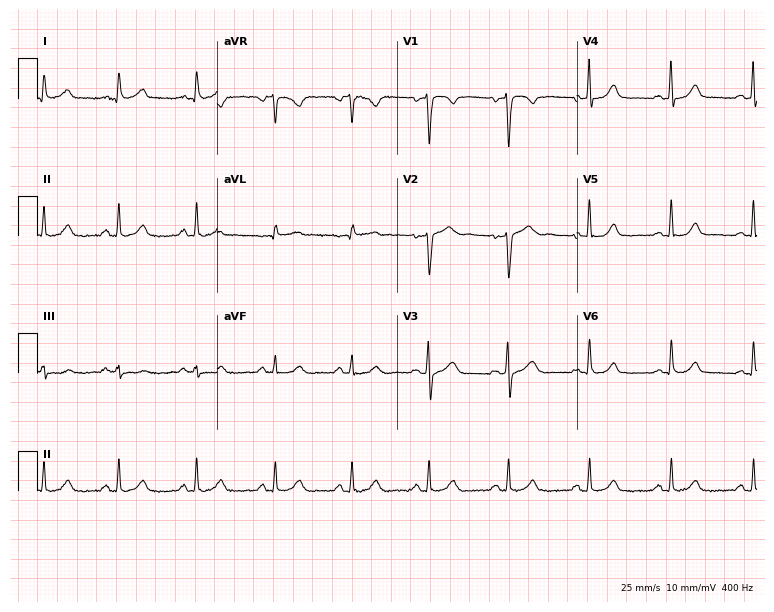
Standard 12-lead ECG recorded from a 42-year-old female. Read as a normal ECG.